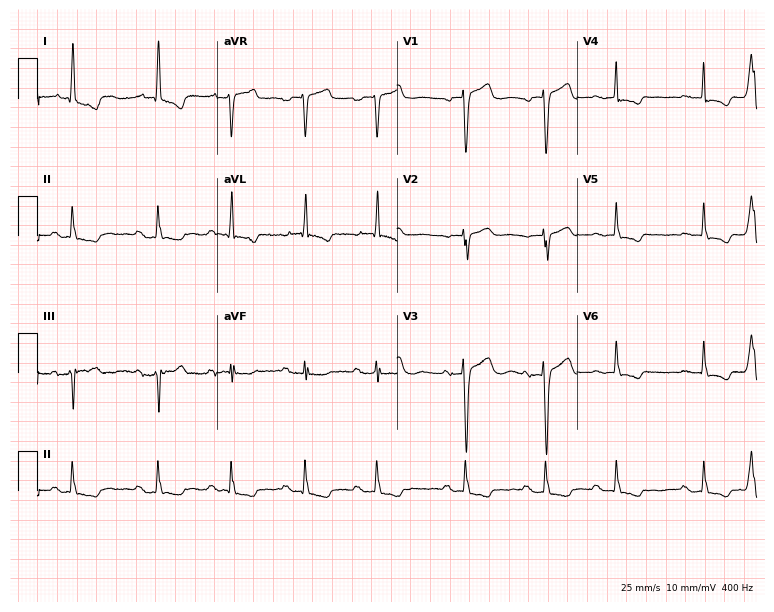
Electrocardiogram (7.3-second recording at 400 Hz), a female patient, 77 years old. Interpretation includes first-degree AV block.